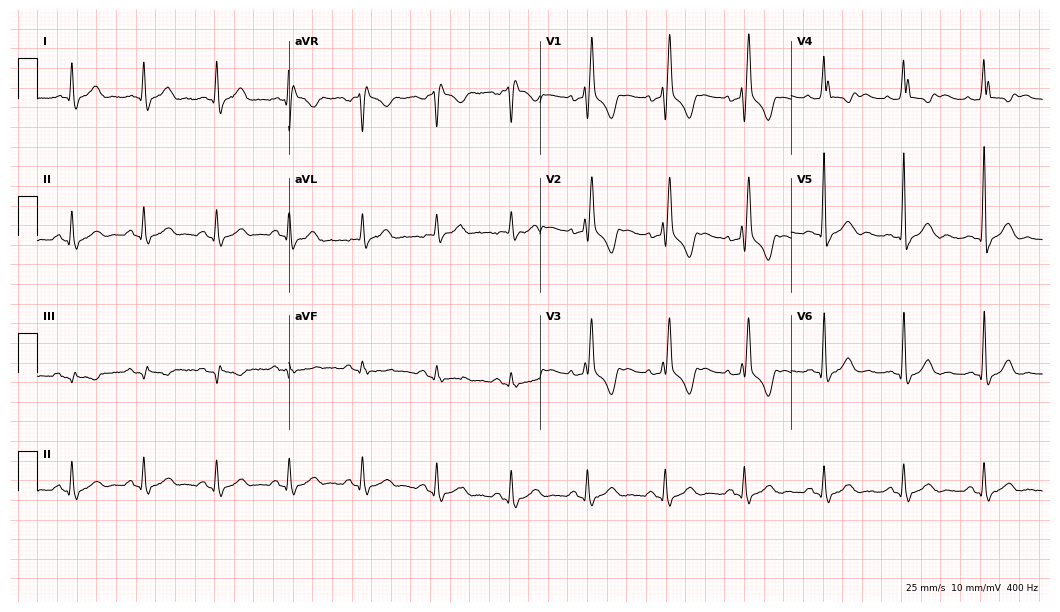
Standard 12-lead ECG recorded from a man, 53 years old. The tracing shows right bundle branch block.